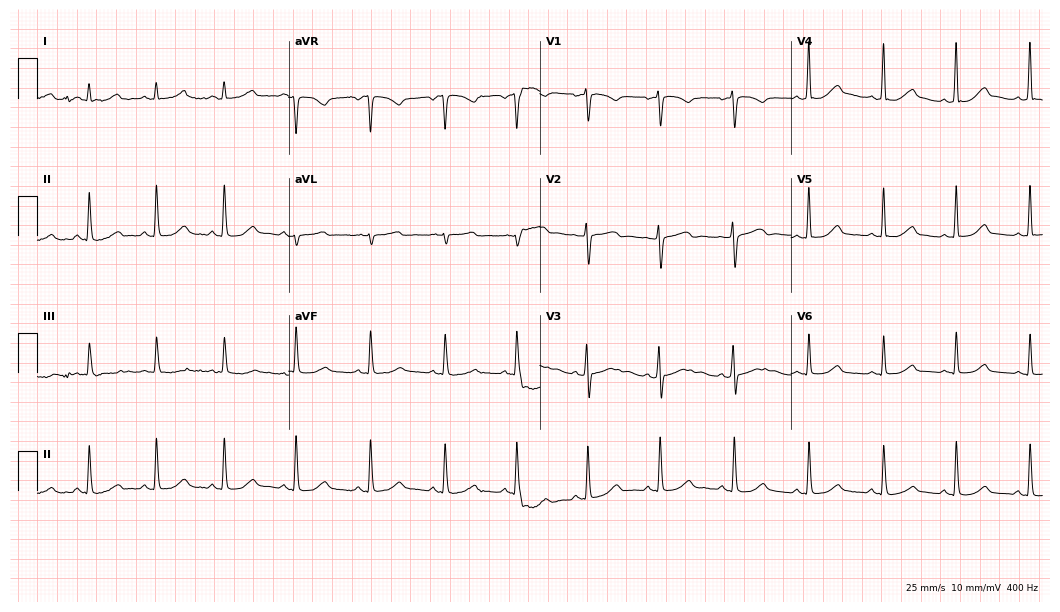
ECG — a female patient, 42 years old. Labelled as a normal ECG.